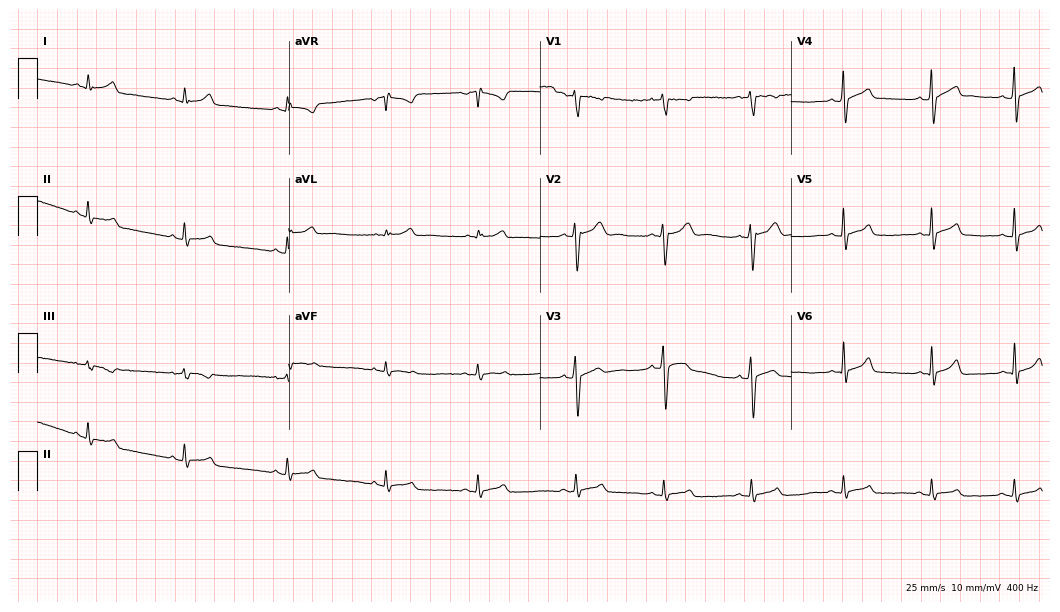
12-lead ECG from a male patient, 18 years old. Recorded interpretation: within normal limits.